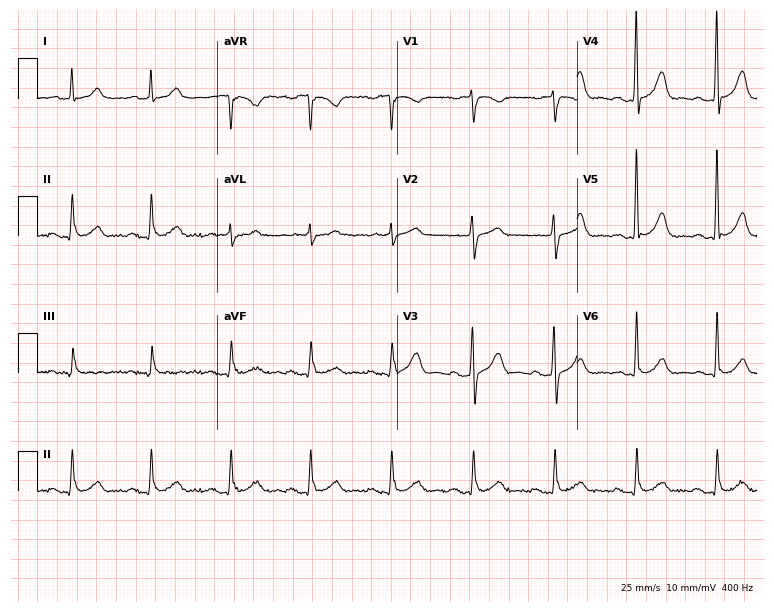
Standard 12-lead ECG recorded from a 79-year-old male patient. Read as a normal ECG.